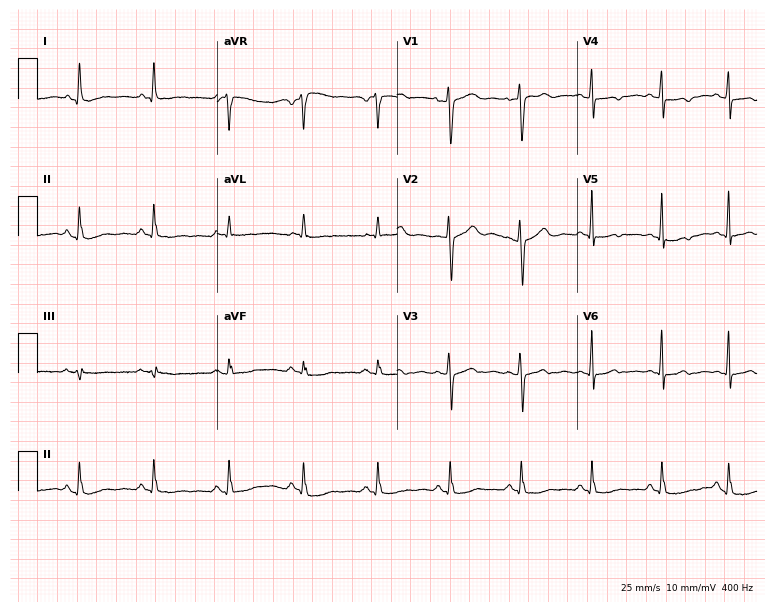
Electrocardiogram, a 39-year-old woman. Of the six screened findings (first-degree AV block, right bundle branch block, left bundle branch block, sinus bradycardia, atrial fibrillation, sinus tachycardia), none is recorded.